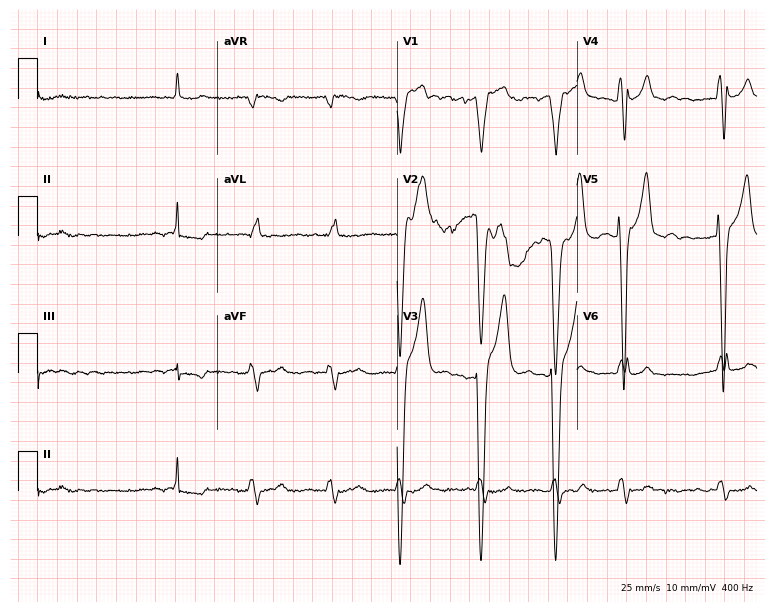
12-lead ECG from a male patient, 75 years old. Findings include left bundle branch block, atrial fibrillation.